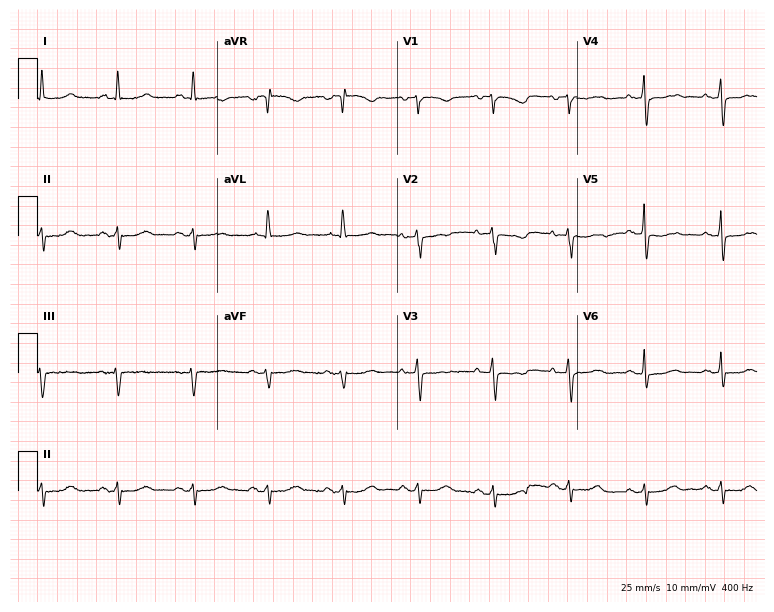
ECG (7.3-second recording at 400 Hz) — a 77-year-old woman. Screened for six findings — first-degree AV block, right bundle branch block (RBBB), left bundle branch block (LBBB), sinus bradycardia, atrial fibrillation (AF), sinus tachycardia — none is recorded. Other findings, if any, are not listed.